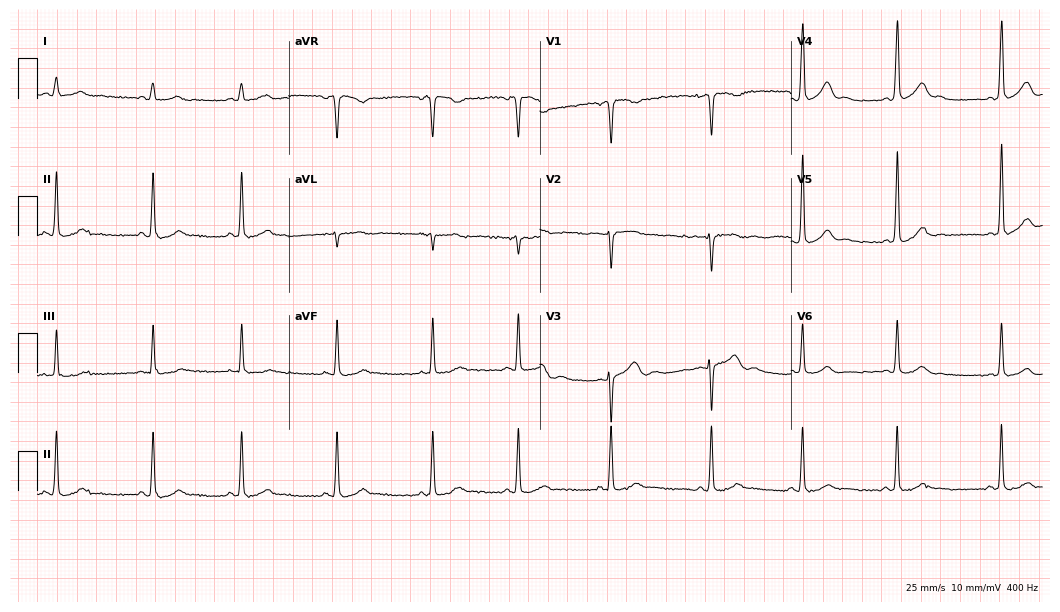
Electrocardiogram (10.2-second recording at 400 Hz), a woman, 24 years old. Overall reading on record: normal ECG.